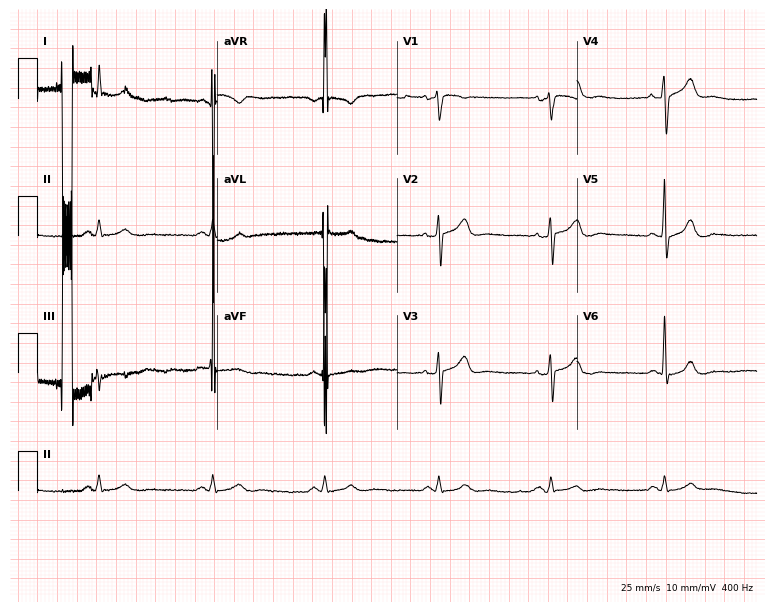
Standard 12-lead ECG recorded from a male, 60 years old. None of these six findings is recorded: first-degree AV block, right bundle branch block (RBBB), left bundle branch block (LBBB), sinus bradycardia, atrial fibrillation (AF), sinus tachycardia. Other findings, if any, are not listed.